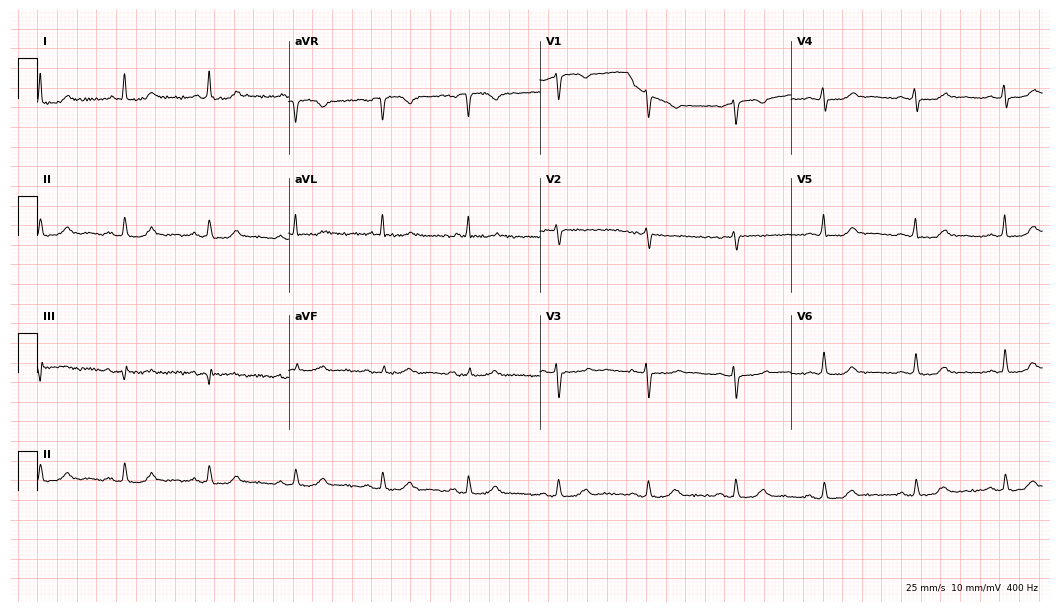
Resting 12-lead electrocardiogram. Patient: a 62-year-old female. Read as a normal ECG.